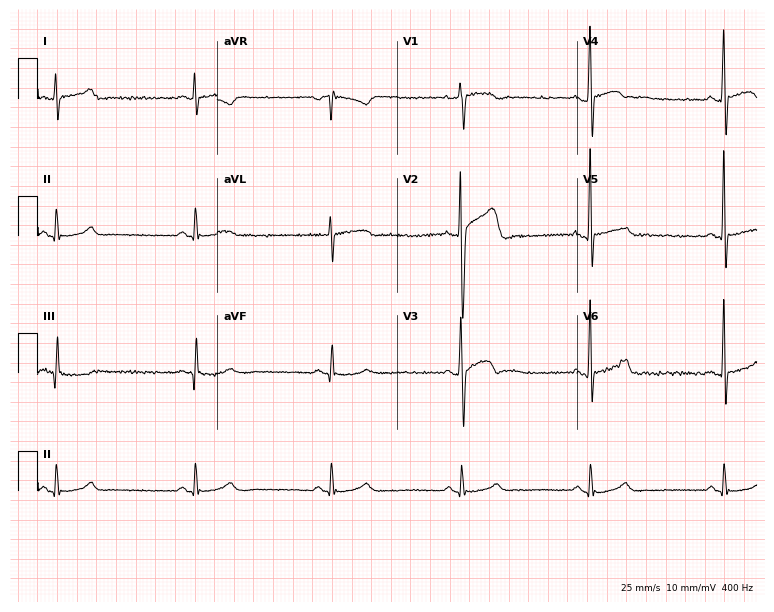
Resting 12-lead electrocardiogram. Patient: a 32-year-old man. The tracing shows sinus bradycardia (a sinus rate of 50 beats per minute or less).